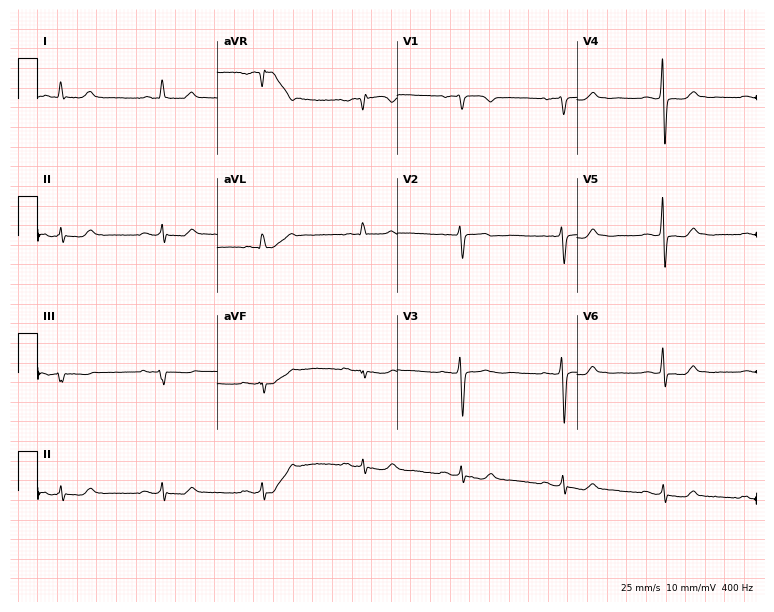
Electrocardiogram, a 71-year-old female. Of the six screened findings (first-degree AV block, right bundle branch block (RBBB), left bundle branch block (LBBB), sinus bradycardia, atrial fibrillation (AF), sinus tachycardia), none is recorded. Findings outside these six are not listed.